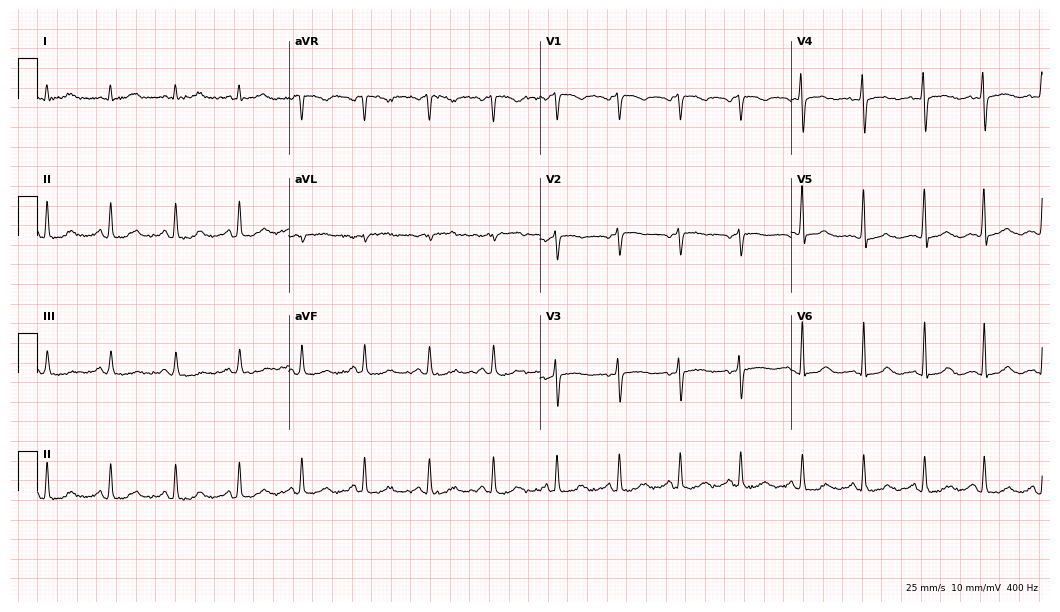
Resting 12-lead electrocardiogram (10.2-second recording at 400 Hz). Patient: a woman, 44 years old. None of these six findings is recorded: first-degree AV block, right bundle branch block, left bundle branch block, sinus bradycardia, atrial fibrillation, sinus tachycardia. Other findings, if any, are not listed.